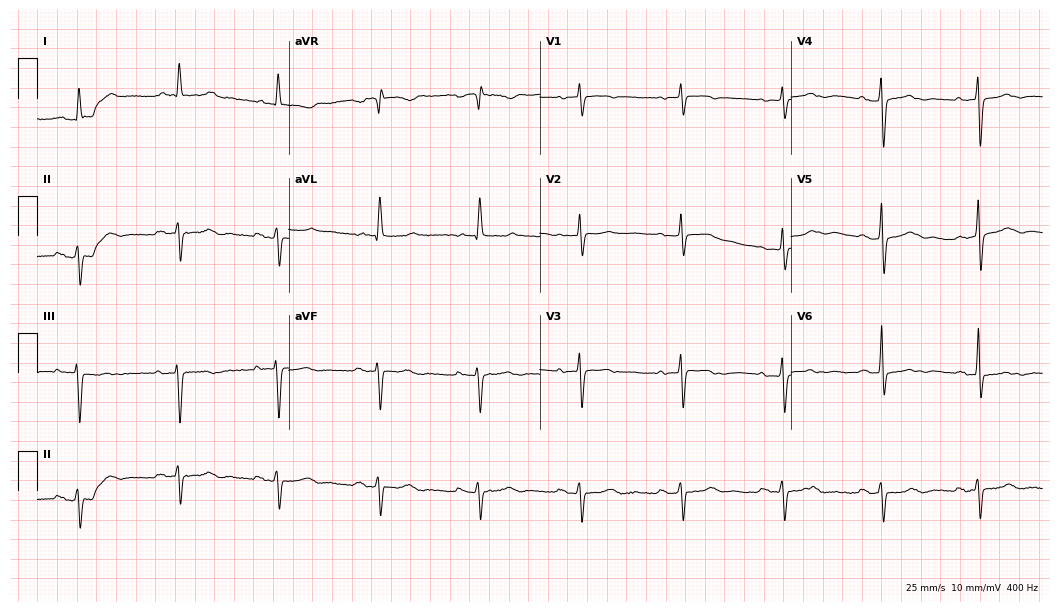
Electrocardiogram (10.2-second recording at 400 Hz), an 85-year-old woman. Overall reading on record: normal ECG.